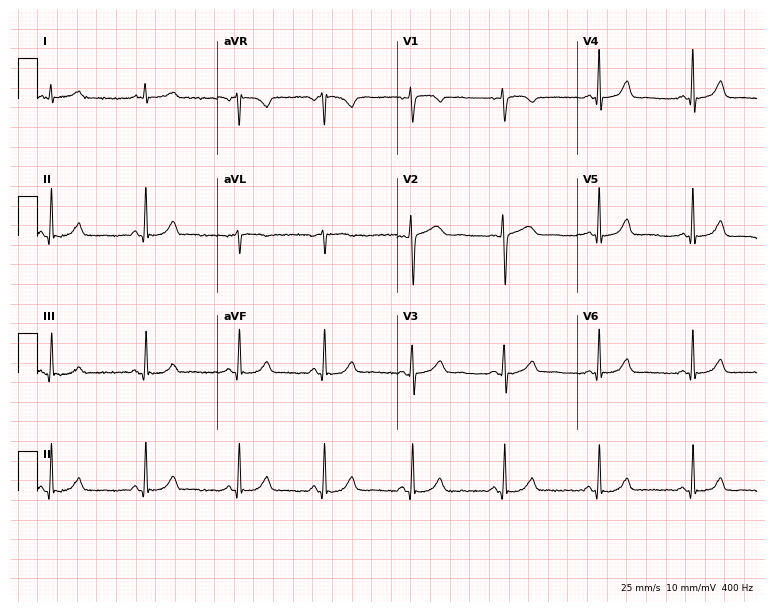
Resting 12-lead electrocardiogram (7.3-second recording at 400 Hz). Patient: a female, 56 years old. Read as a normal ECG.